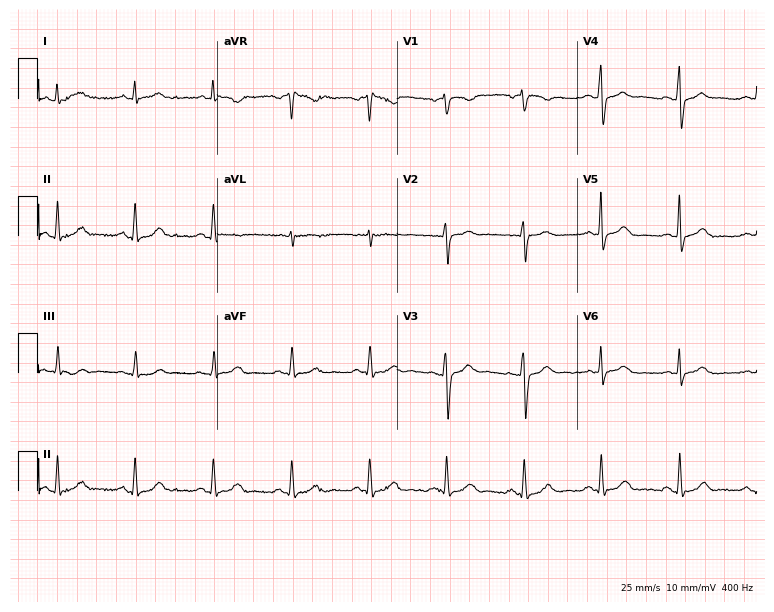
Resting 12-lead electrocardiogram. Patient: a man, 50 years old. Read as a normal ECG.